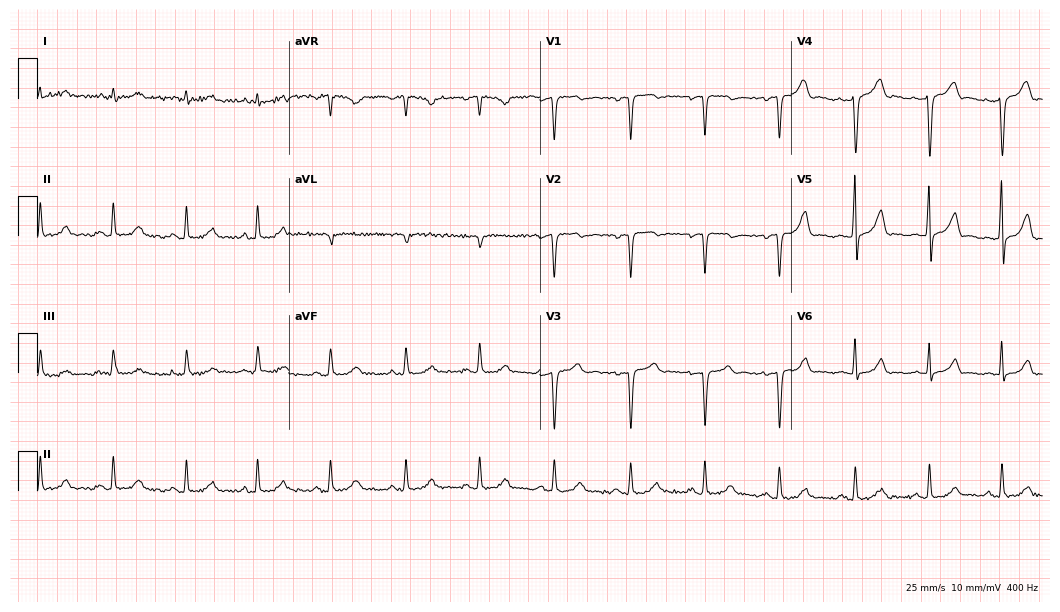
Resting 12-lead electrocardiogram. Patient: a 41-year-old female. Read as a normal ECG.